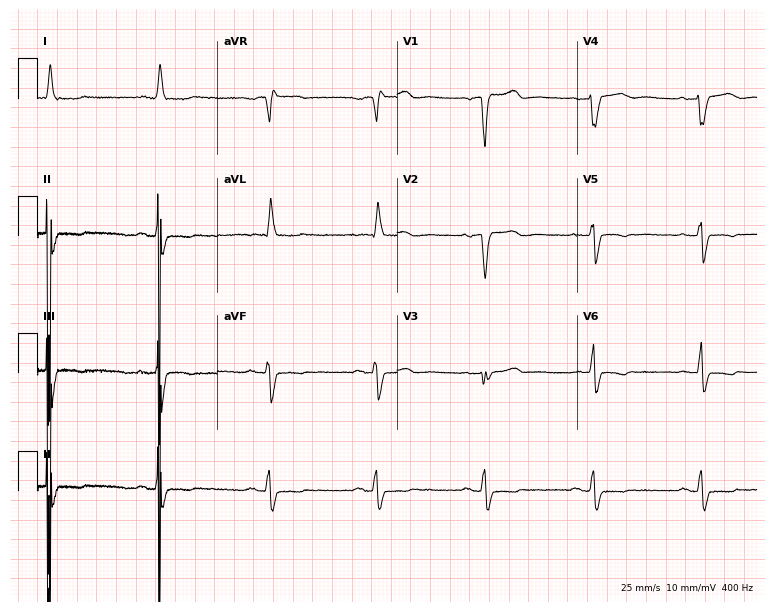
12-lead ECG (7.3-second recording at 400 Hz) from a 63-year-old woman. Screened for six findings — first-degree AV block, right bundle branch block (RBBB), left bundle branch block (LBBB), sinus bradycardia, atrial fibrillation (AF), sinus tachycardia — none is recorded. Findings outside these six are not listed.